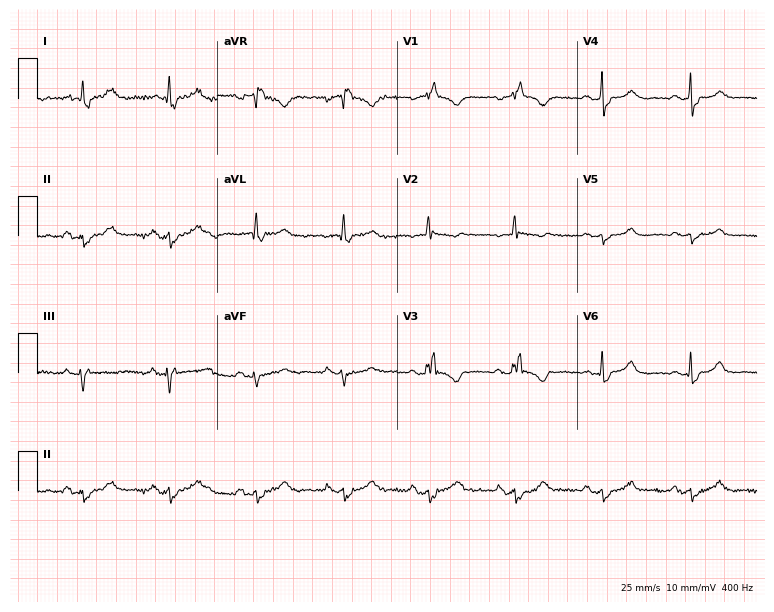
Resting 12-lead electrocardiogram. Patient: a female, 67 years old. None of these six findings is recorded: first-degree AV block, right bundle branch block, left bundle branch block, sinus bradycardia, atrial fibrillation, sinus tachycardia. Findings outside these six are not listed.